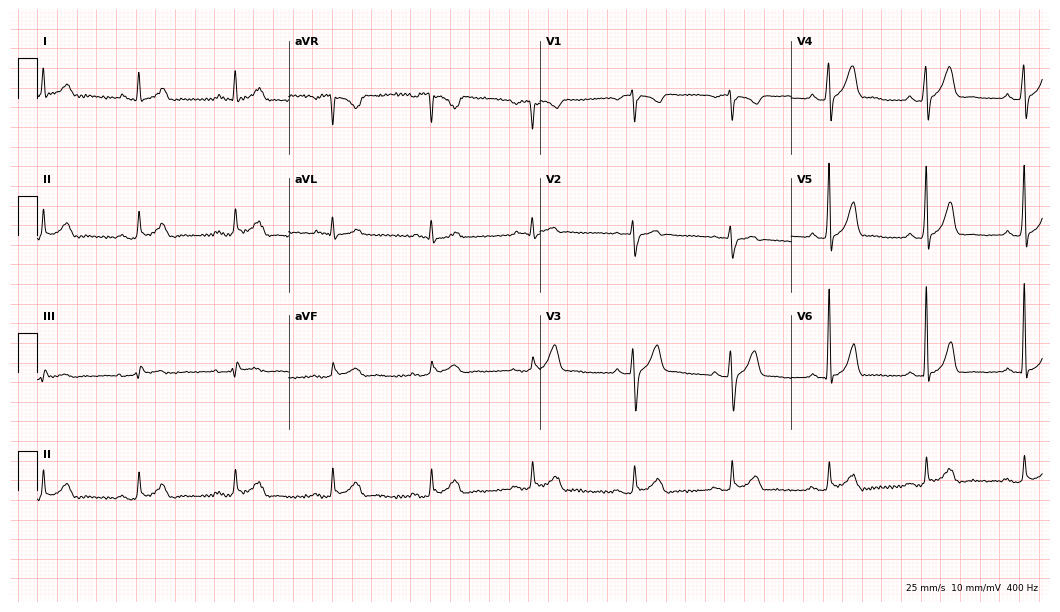
ECG — a male, 37 years old. Labelled as a normal ECG.